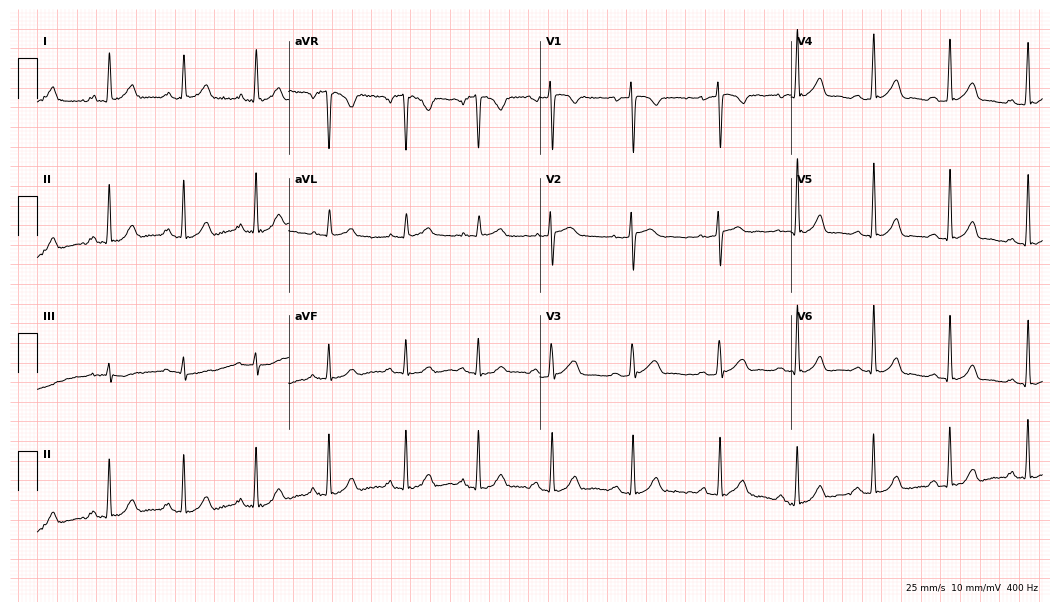
12-lead ECG from a 31-year-old female. Recorded interpretation: within normal limits.